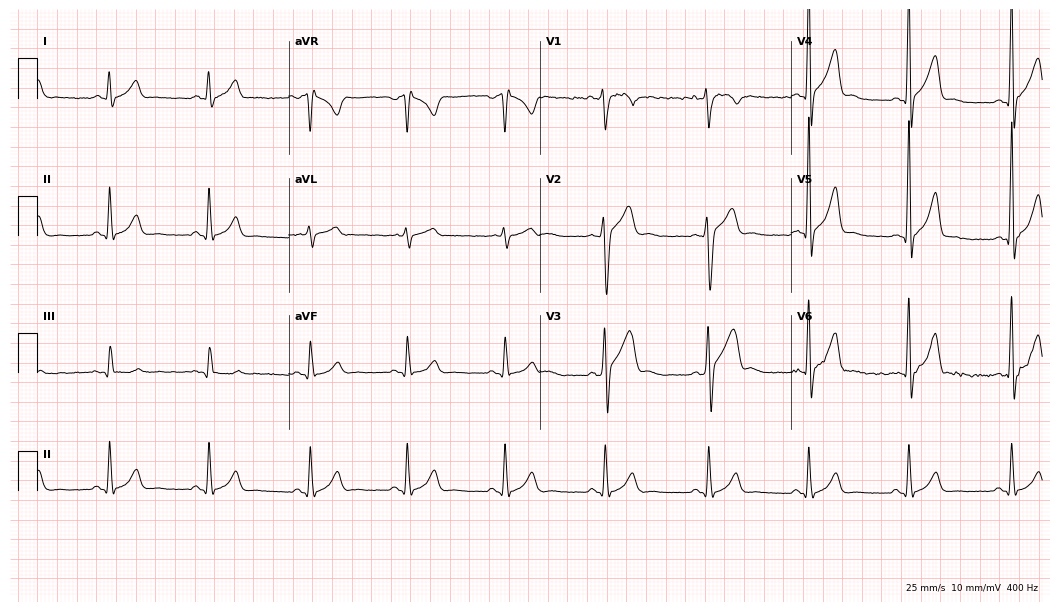
12-lead ECG (10.2-second recording at 400 Hz) from a man, 31 years old. Screened for six findings — first-degree AV block, right bundle branch block (RBBB), left bundle branch block (LBBB), sinus bradycardia, atrial fibrillation (AF), sinus tachycardia — none is recorded. Other findings, if any, are not listed.